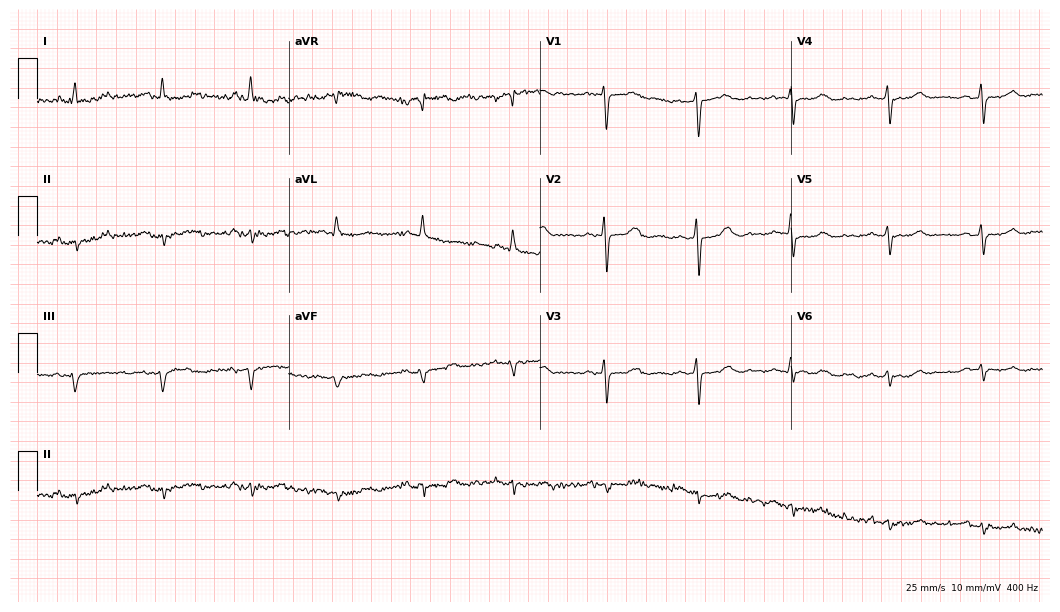
12-lead ECG from a 59-year-old female. No first-degree AV block, right bundle branch block (RBBB), left bundle branch block (LBBB), sinus bradycardia, atrial fibrillation (AF) or sinus tachycardia recorded for this tracing.